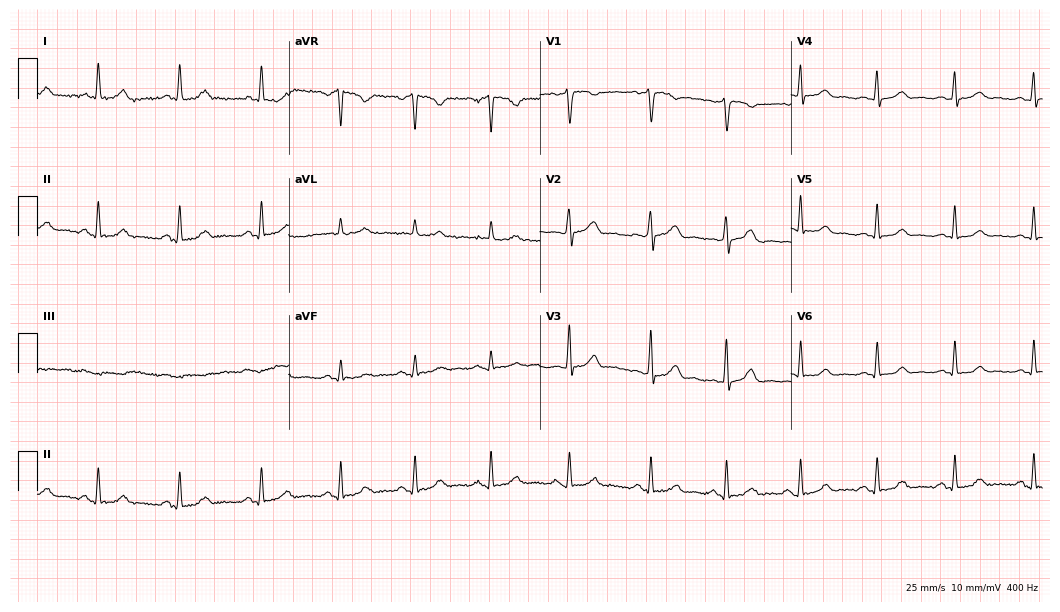
Electrocardiogram (10.2-second recording at 400 Hz), a 40-year-old female. Overall reading on record: normal ECG.